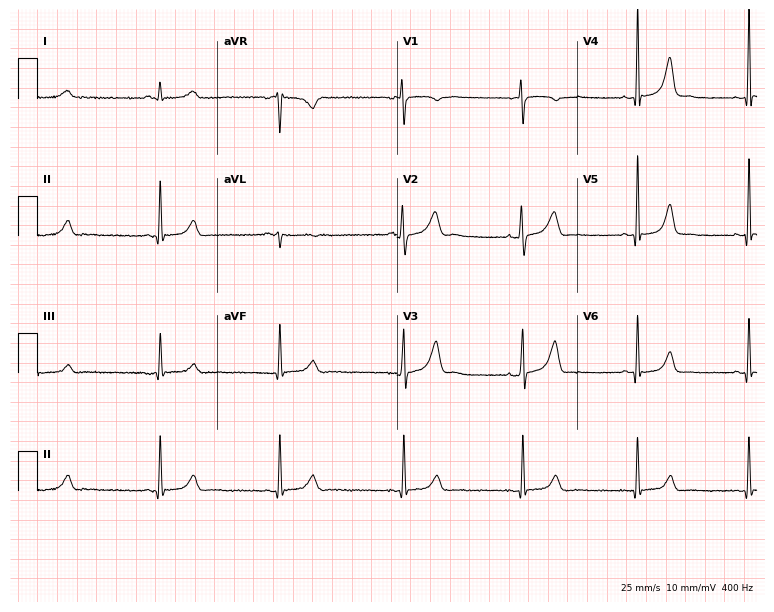
12-lead ECG (7.3-second recording at 400 Hz) from a 32-year-old female patient. Labelled as a normal ECG.